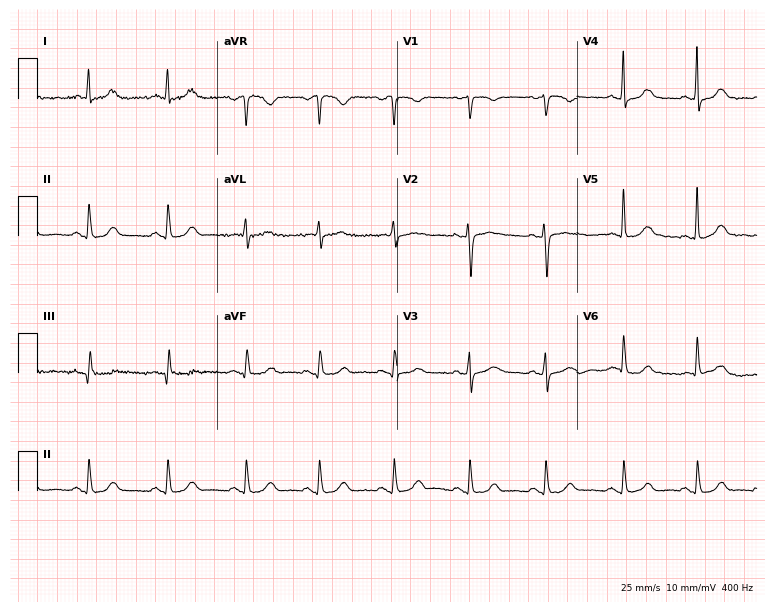
12-lead ECG from a female patient, 43 years old (7.3-second recording at 400 Hz). No first-degree AV block, right bundle branch block, left bundle branch block, sinus bradycardia, atrial fibrillation or sinus tachycardia recorded for this tracing.